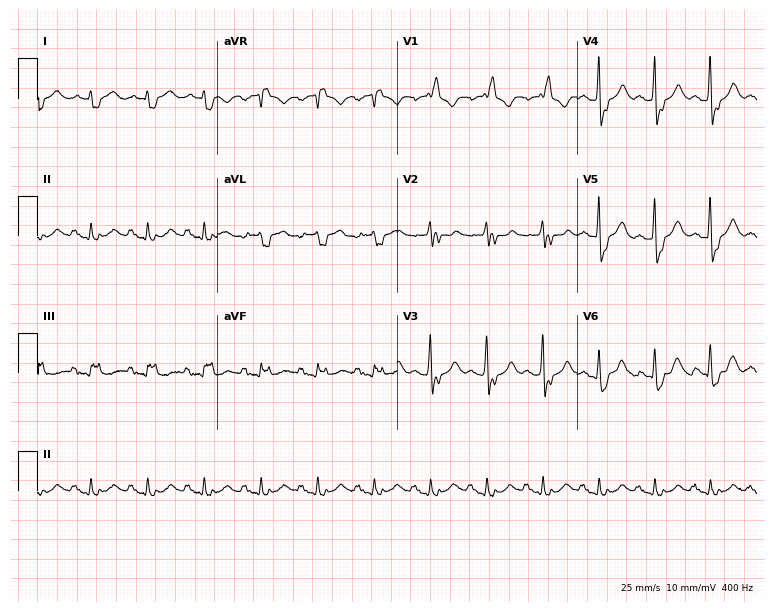
Electrocardiogram (7.3-second recording at 400 Hz), a man, 63 years old. Interpretation includes right bundle branch block.